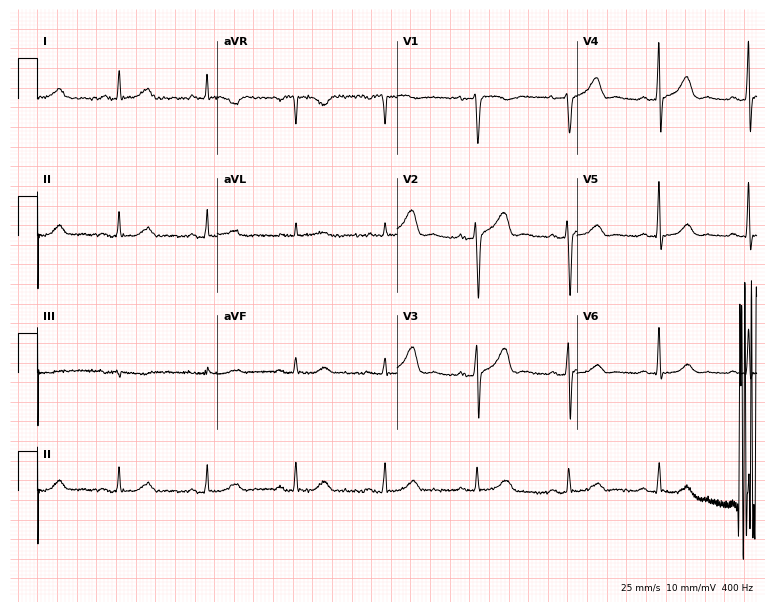
Standard 12-lead ECG recorded from a woman, 52 years old (7.3-second recording at 400 Hz). None of these six findings is recorded: first-degree AV block, right bundle branch block, left bundle branch block, sinus bradycardia, atrial fibrillation, sinus tachycardia. Only these six findings were labelled.